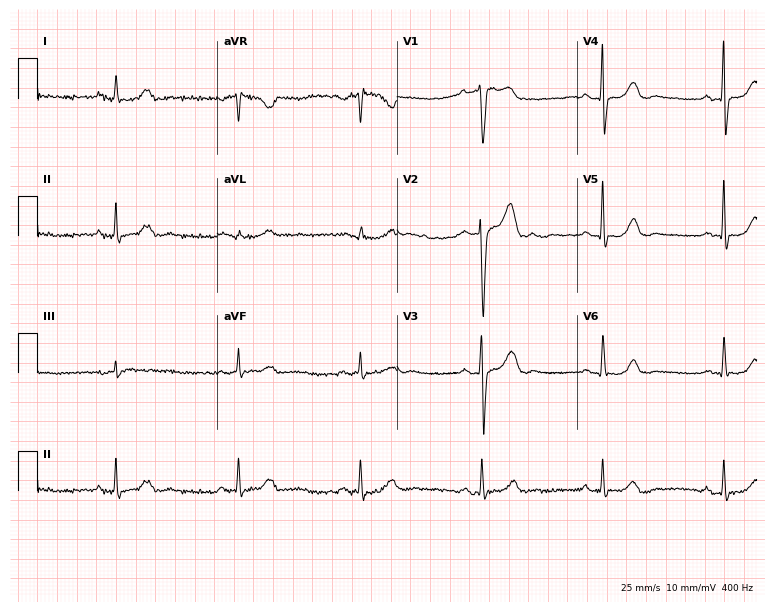
Standard 12-lead ECG recorded from a male, 22 years old (7.3-second recording at 400 Hz). The tracing shows sinus bradycardia (a sinus rate of 50 beats per minute or less).